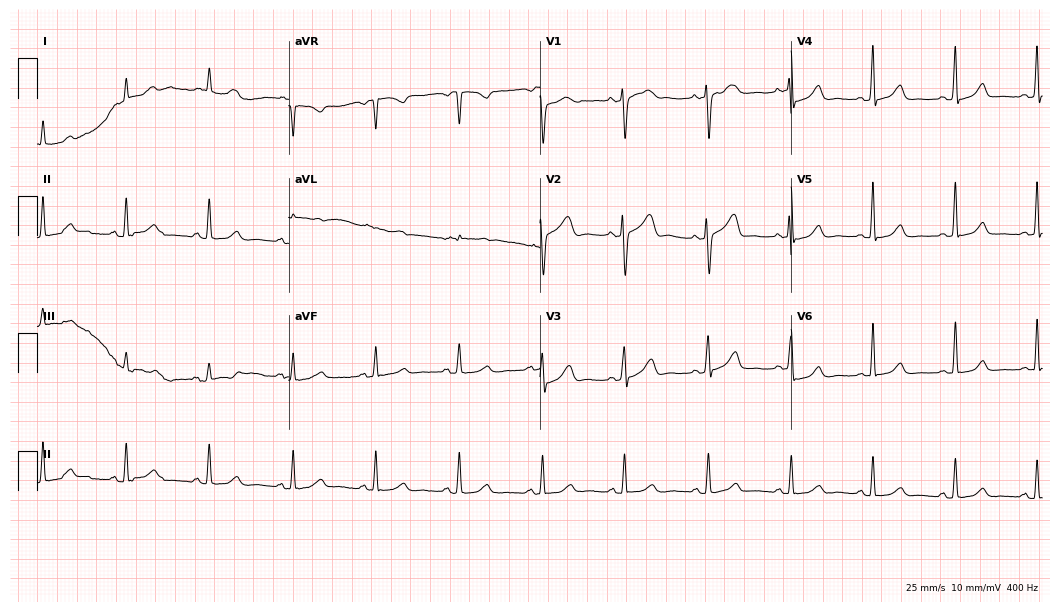
Standard 12-lead ECG recorded from a woman, 71 years old (10.2-second recording at 400 Hz). Read as a normal ECG.